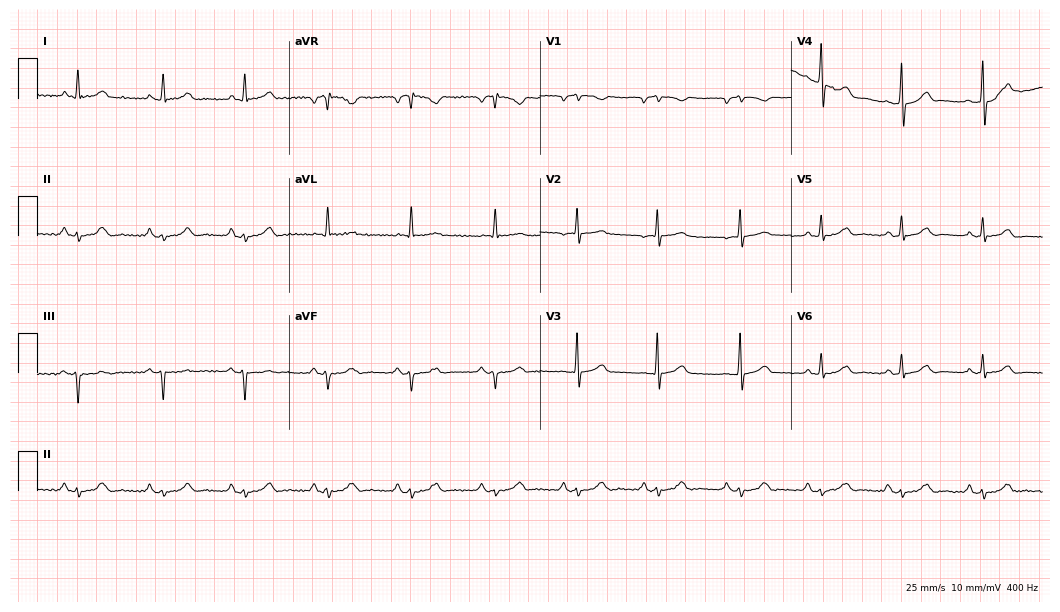
Electrocardiogram (10.2-second recording at 400 Hz), a male patient, 63 years old. Of the six screened findings (first-degree AV block, right bundle branch block, left bundle branch block, sinus bradycardia, atrial fibrillation, sinus tachycardia), none is recorded. Only these six findings were labelled.